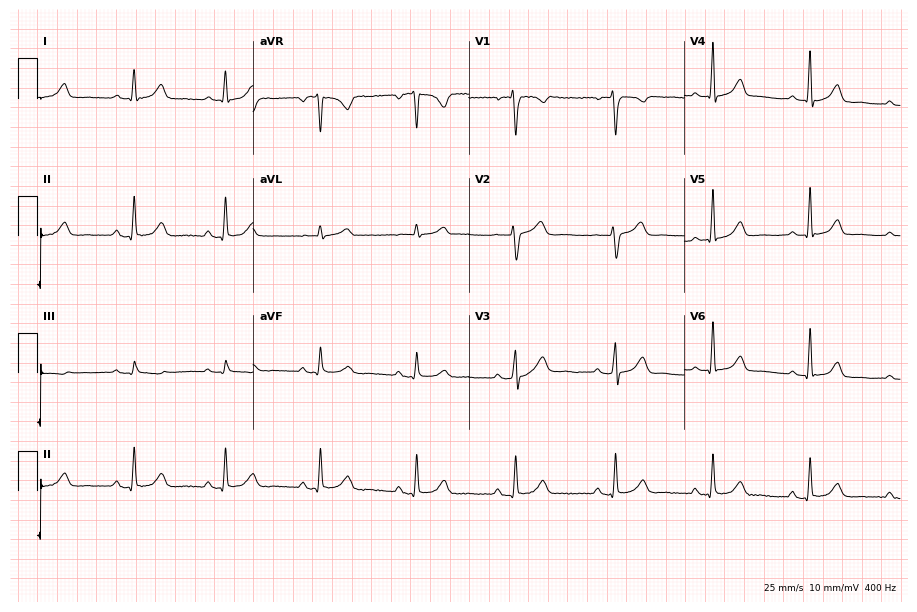
Resting 12-lead electrocardiogram. Patient: a 52-year-old woman. Read as a normal ECG.